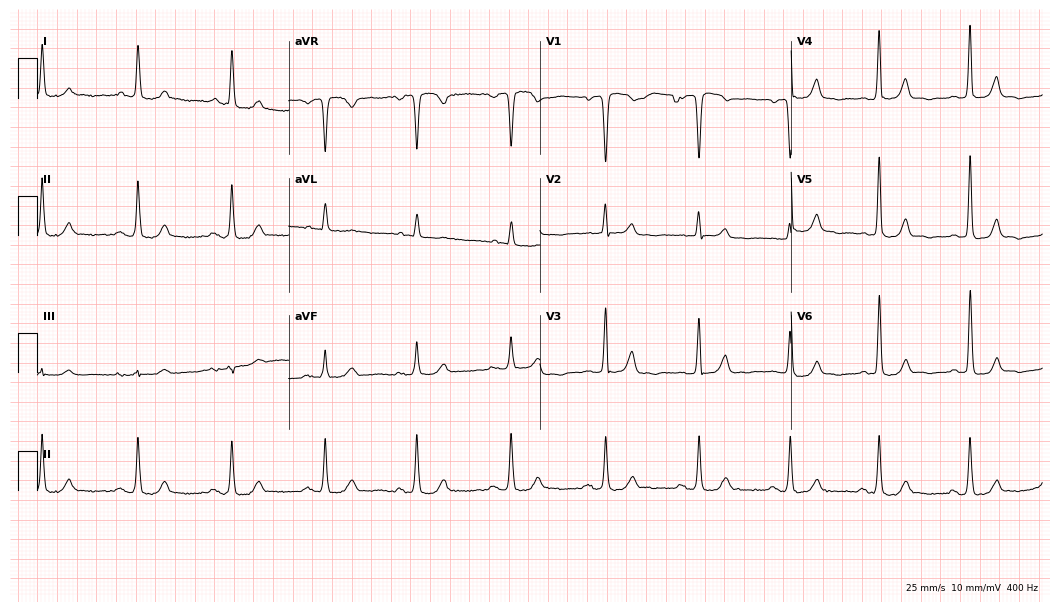
Resting 12-lead electrocardiogram (10.2-second recording at 400 Hz). Patient: a 71-year-old male. None of these six findings is recorded: first-degree AV block, right bundle branch block, left bundle branch block, sinus bradycardia, atrial fibrillation, sinus tachycardia. Other findings, if any, are not listed.